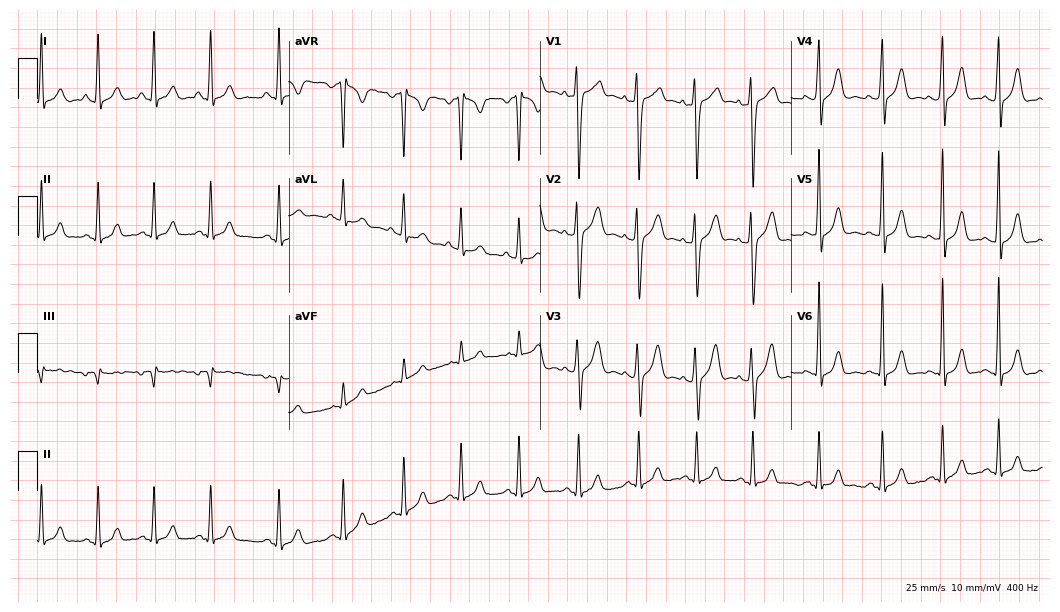
12-lead ECG from a 17-year-old woman. Recorded interpretation: within normal limits.